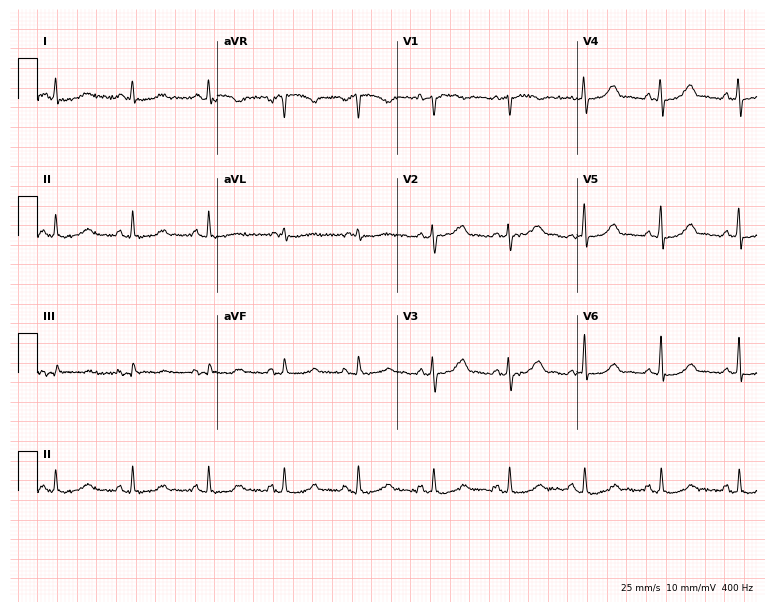
12-lead ECG (7.3-second recording at 400 Hz) from a 62-year-old woman. Labelled as a normal ECG.